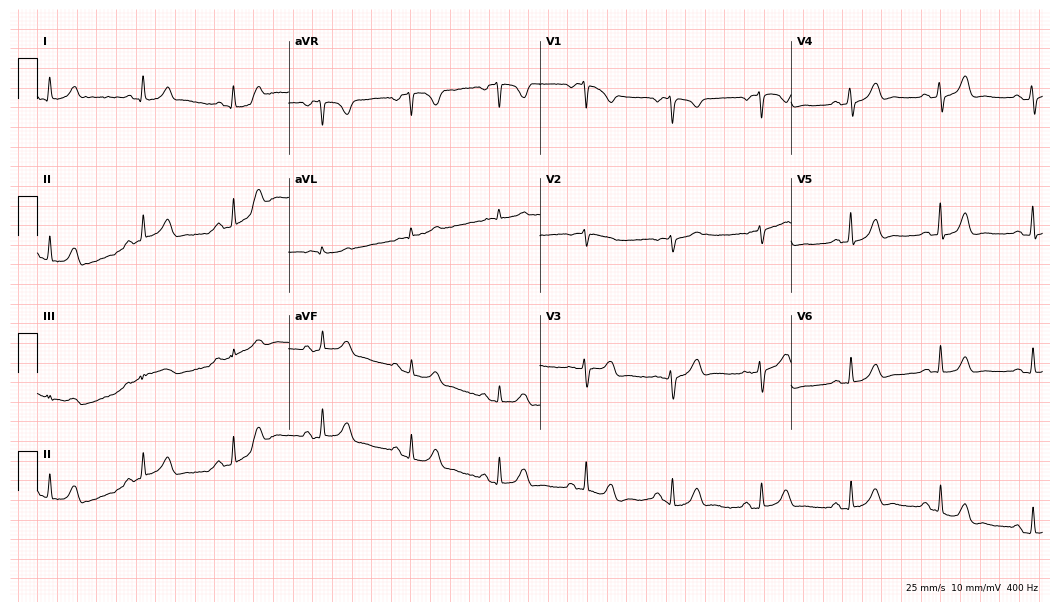
ECG (10.2-second recording at 400 Hz) — a woman, 58 years old. Labelled as a normal ECG.